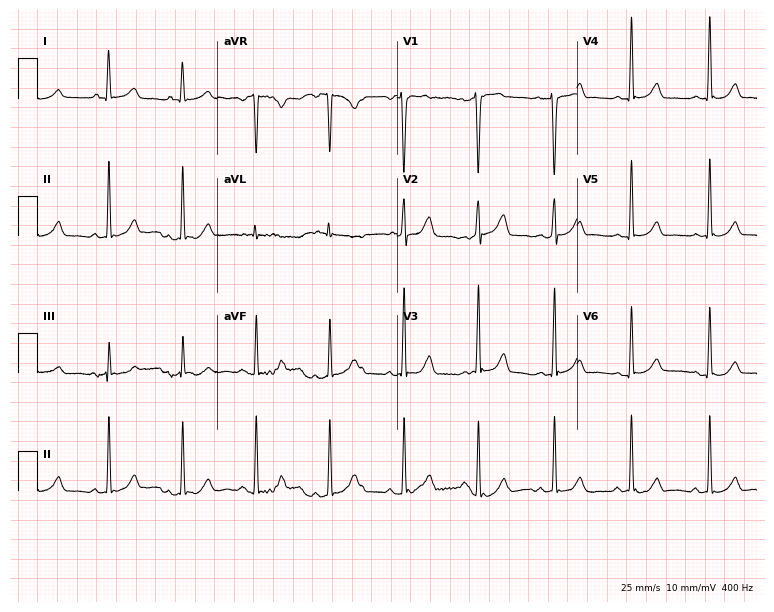
12-lead ECG from a 39-year-old woman (7.3-second recording at 400 Hz). Recorded interpretation: within normal limits.